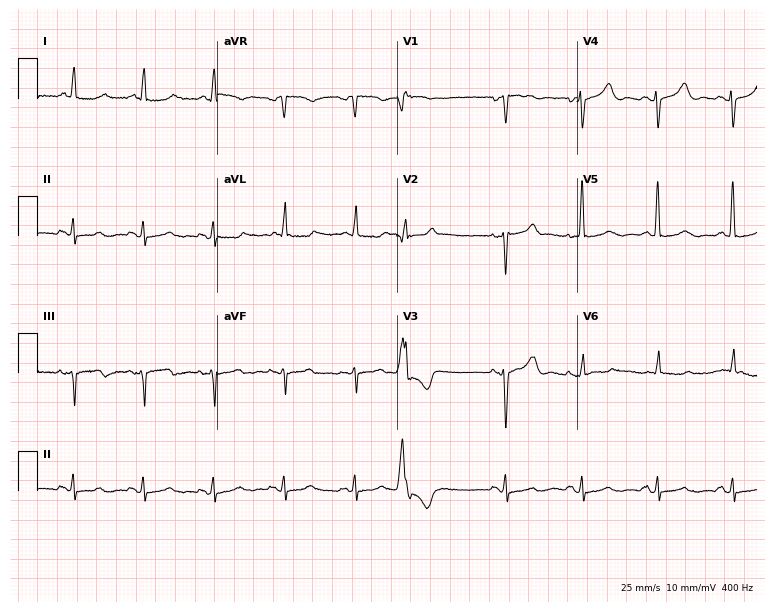
Resting 12-lead electrocardiogram. Patient: a female, 80 years old. Read as a normal ECG.